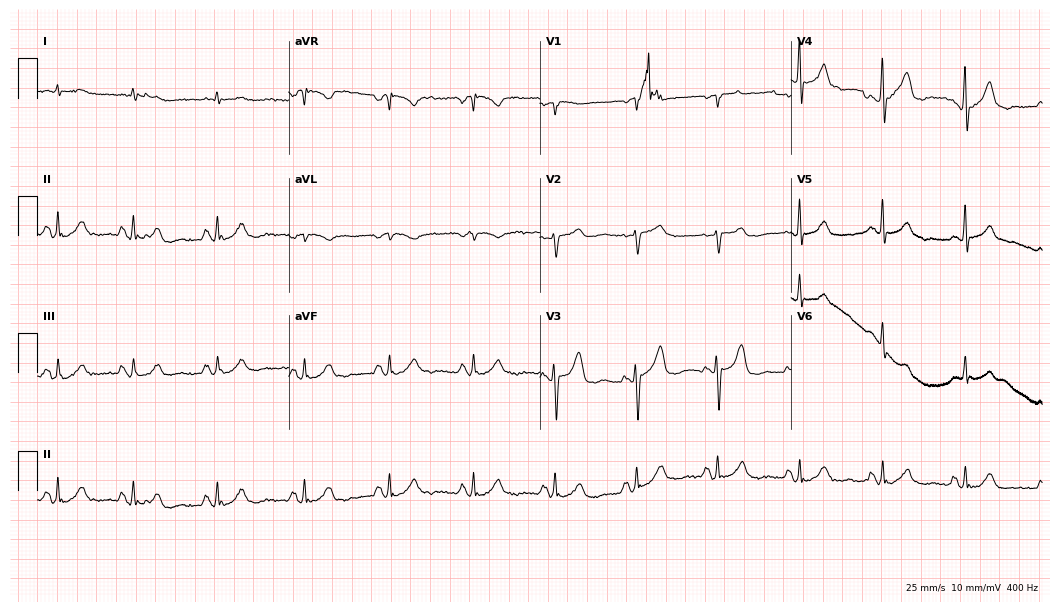
12-lead ECG from a 69-year-old male. Labelled as a normal ECG.